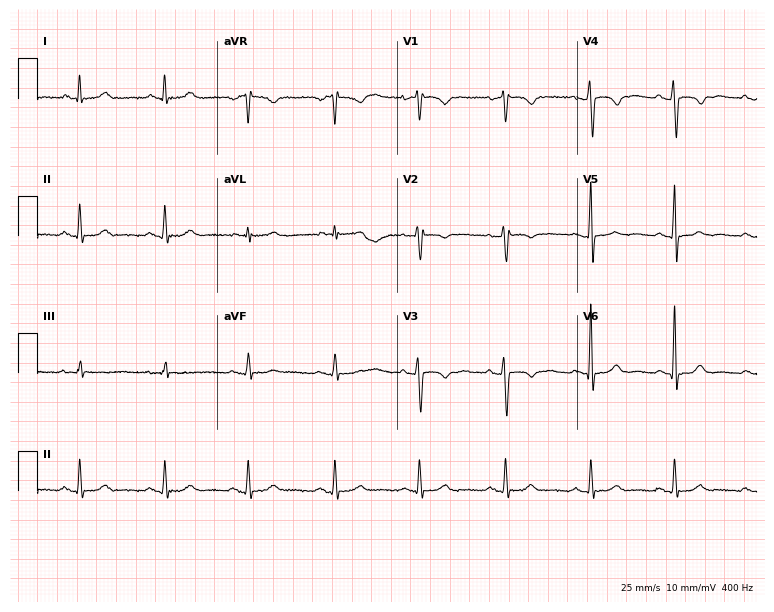
12-lead ECG from a female patient, 47 years old. Recorded interpretation: within normal limits.